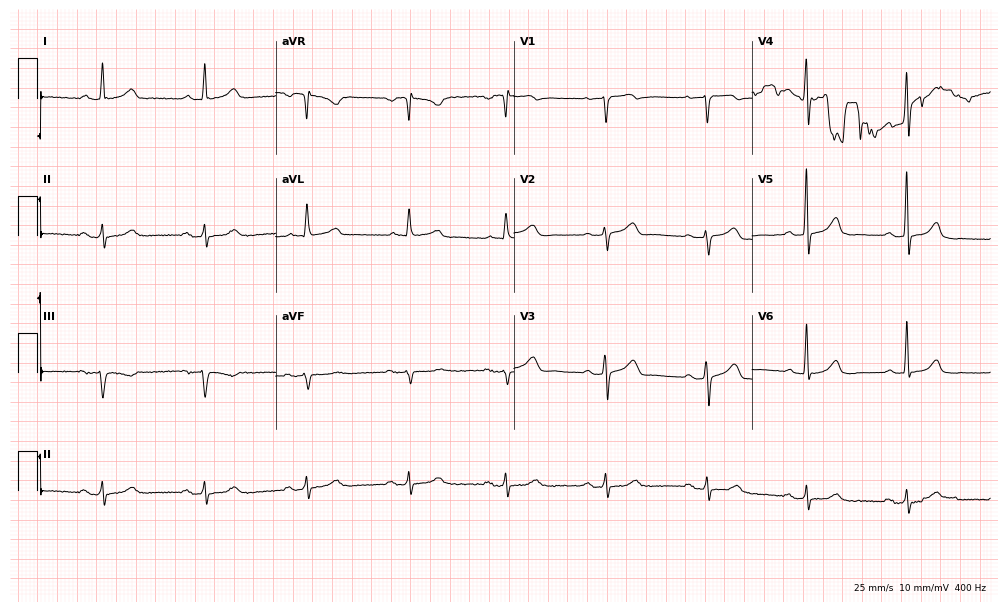
12-lead ECG from a 68-year-old female patient. Screened for six findings — first-degree AV block, right bundle branch block, left bundle branch block, sinus bradycardia, atrial fibrillation, sinus tachycardia — none is recorded.